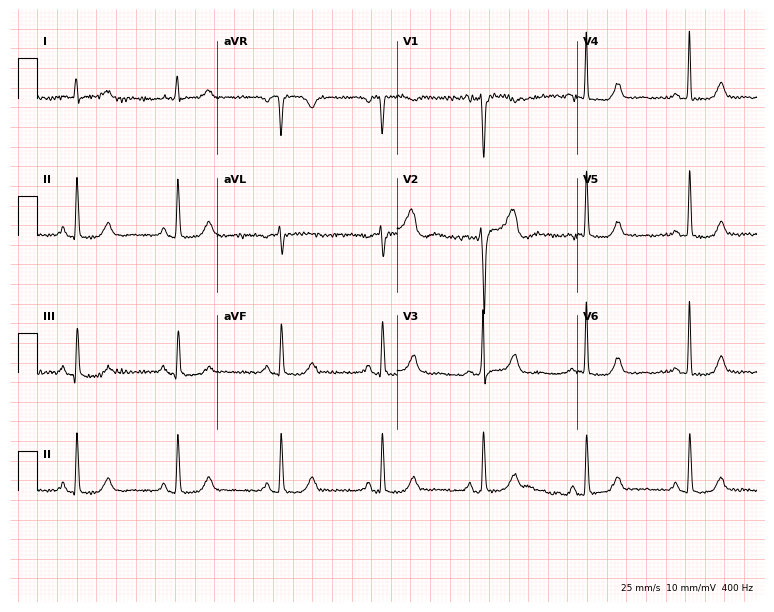
12-lead ECG from a female, 67 years old. Screened for six findings — first-degree AV block, right bundle branch block, left bundle branch block, sinus bradycardia, atrial fibrillation, sinus tachycardia — none is recorded.